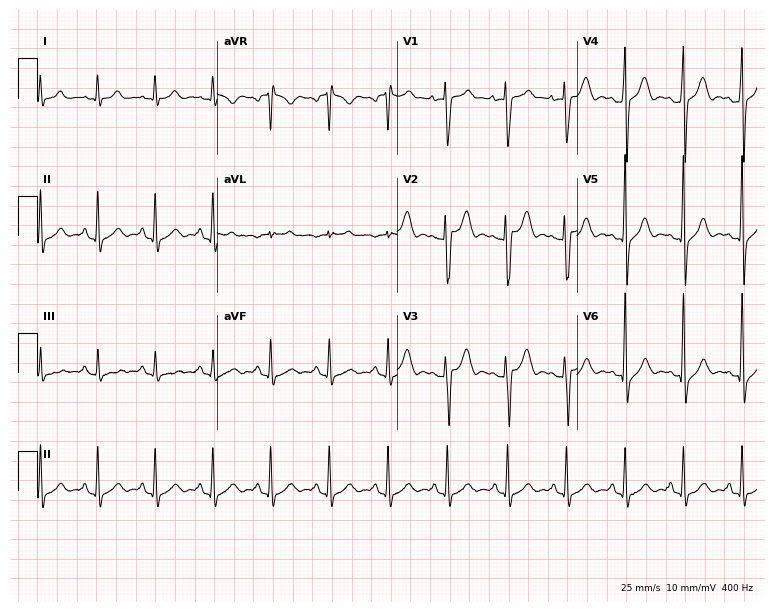
12-lead ECG from a 22-year-old male. Shows sinus tachycardia (a sinus rate of 100 beats per minute or more).